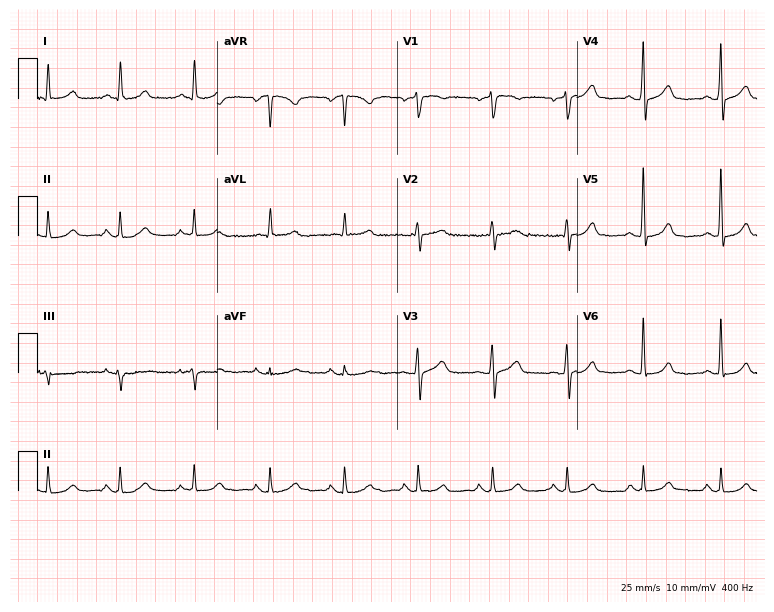
Resting 12-lead electrocardiogram (7.3-second recording at 400 Hz). Patient: an 81-year-old male. Read as a normal ECG.